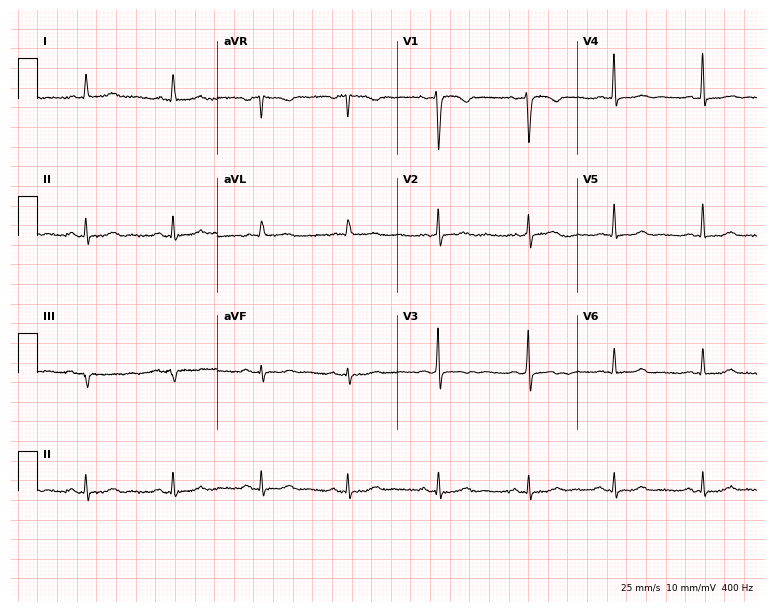
12-lead ECG (7.3-second recording at 400 Hz) from a woman, 52 years old. Screened for six findings — first-degree AV block, right bundle branch block, left bundle branch block, sinus bradycardia, atrial fibrillation, sinus tachycardia — none is recorded.